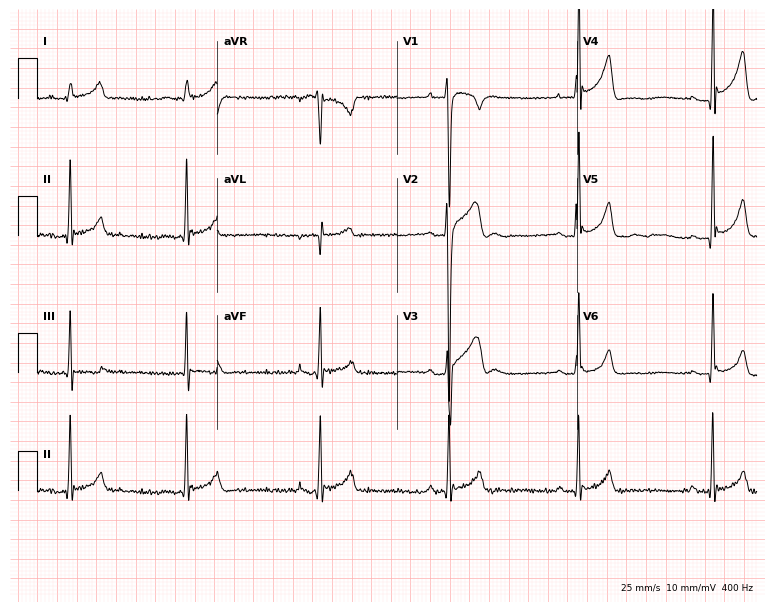
Standard 12-lead ECG recorded from a 17-year-old man (7.3-second recording at 400 Hz). None of these six findings is recorded: first-degree AV block, right bundle branch block, left bundle branch block, sinus bradycardia, atrial fibrillation, sinus tachycardia. Only these six findings were labelled.